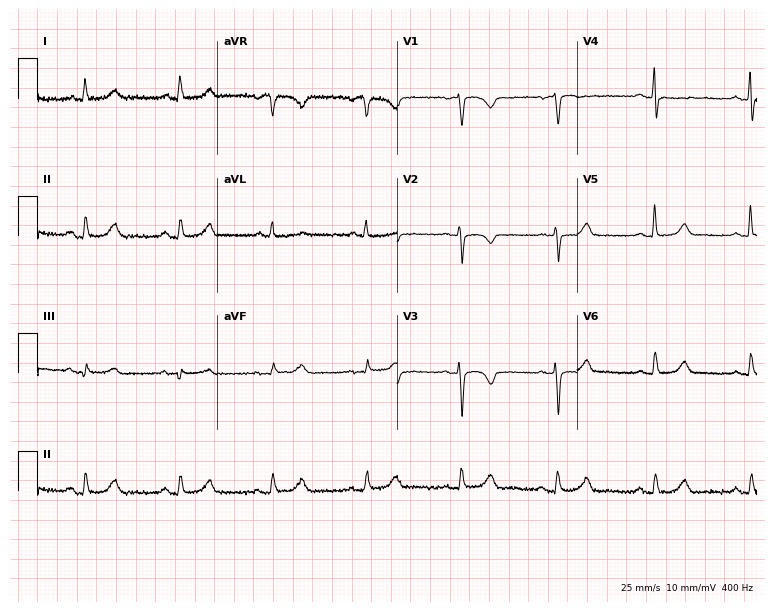
12-lead ECG from a 61-year-old female patient. No first-degree AV block, right bundle branch block, left bundle branch block, sinus bradycardia, atrial fibrillation or sinus tachycardia recorded for this tracing.